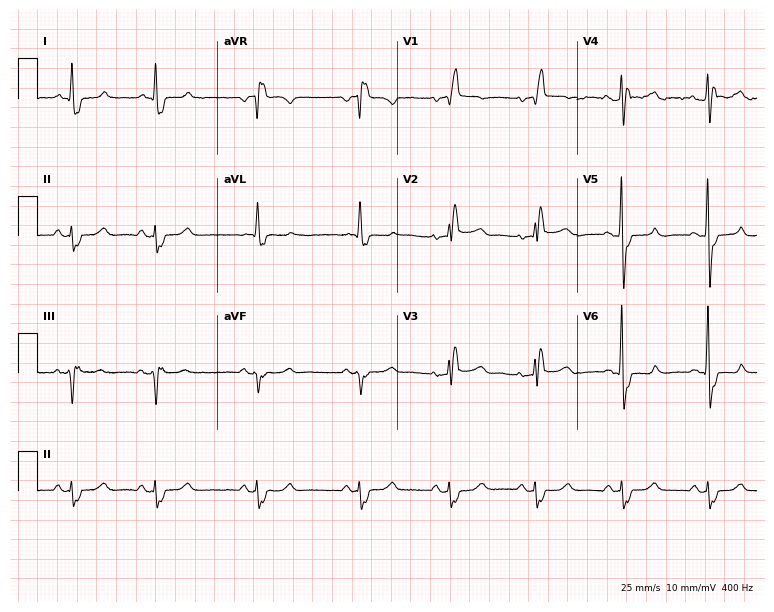
Resting 12-lead electrocardiogram. Patient: a 70-year-old female. The tracing shows right bundle branch block.